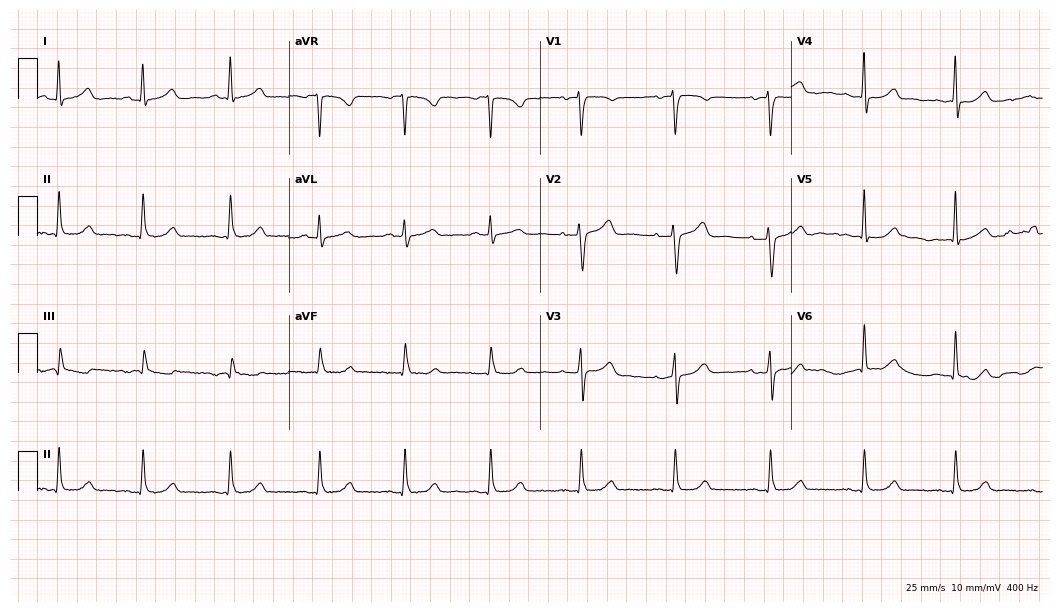
Standard 12-lead ECG recorded from a 34-year-old female (10.2-second recording at 400 Hz). Read as a normal ECG.